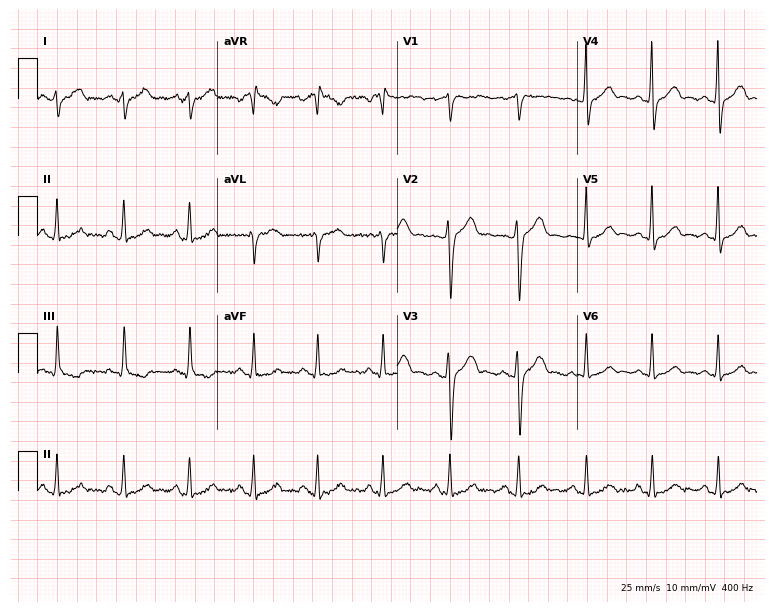
Standard 12-lead ECG recorded from a man, 33 years old. Read as a normal ECG.